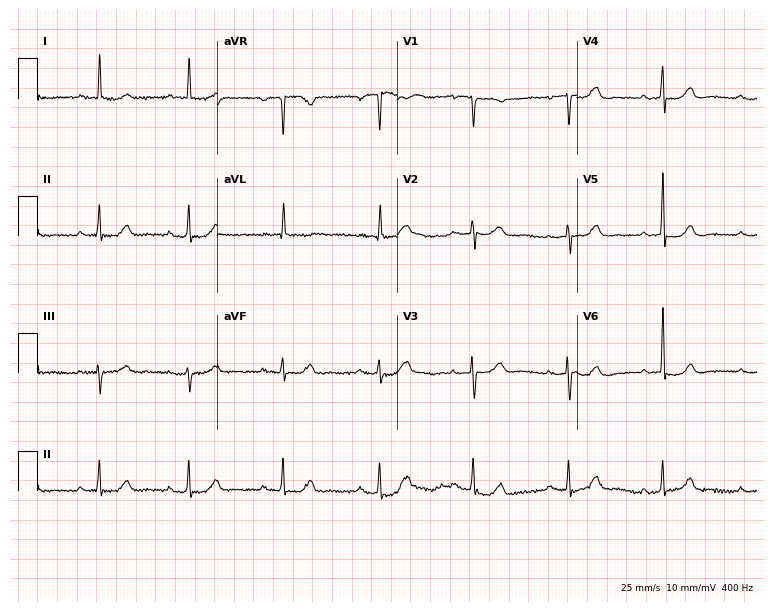
12-lead ECG from a 69-year-old female (7.3-second recording at 400 Hz). No first-degree AV block, right bundle branch block, left bundle branch block, sinus bradycardia, atrial fibrillation or sinus tachycardia recorded for this tracing.